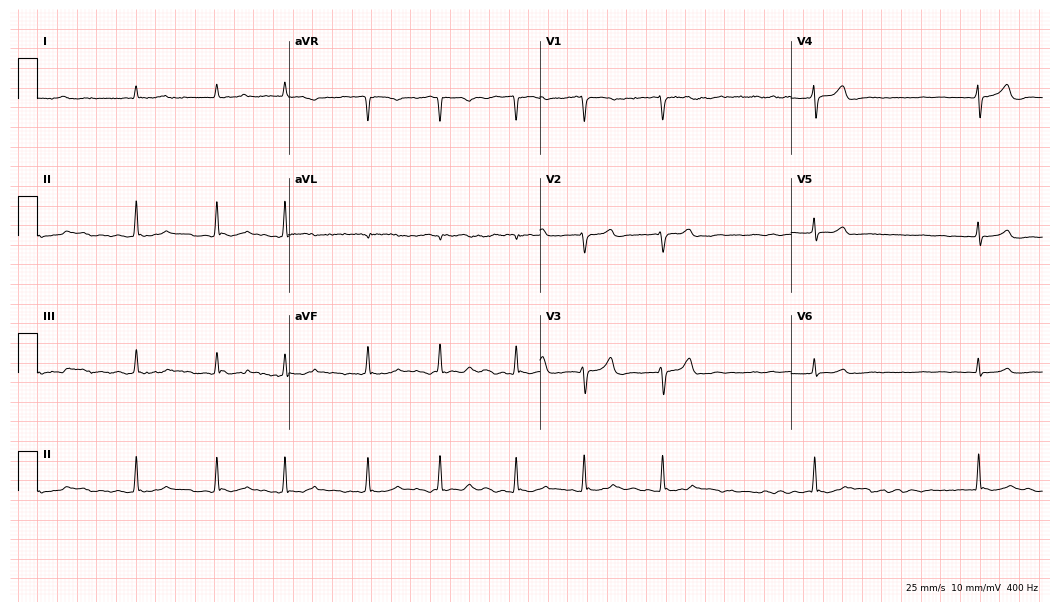
ECG (10.2-second recording at 400 Hz) — a male, 61 years old. Findings include atrial fibrillation.